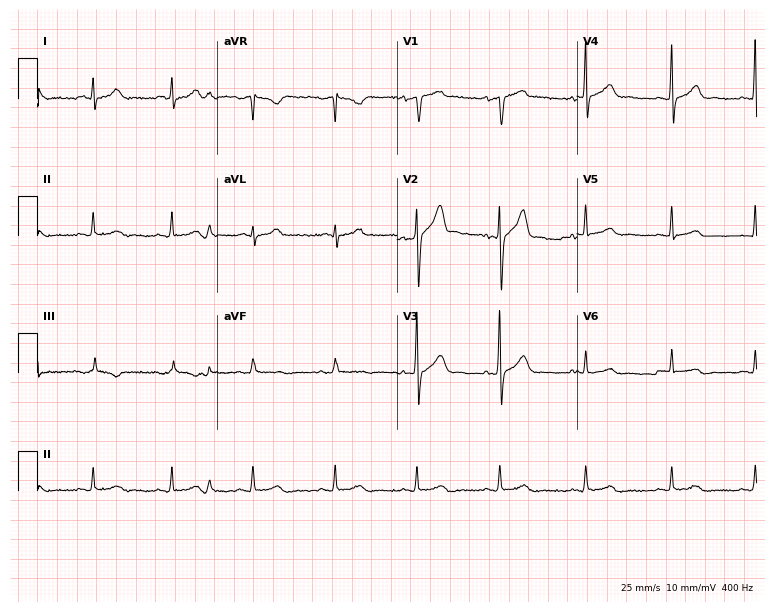
12-lead ECG (7.3-second recording at 400 Hz) from a 50-year-old male. Labelled as a normal ECG.